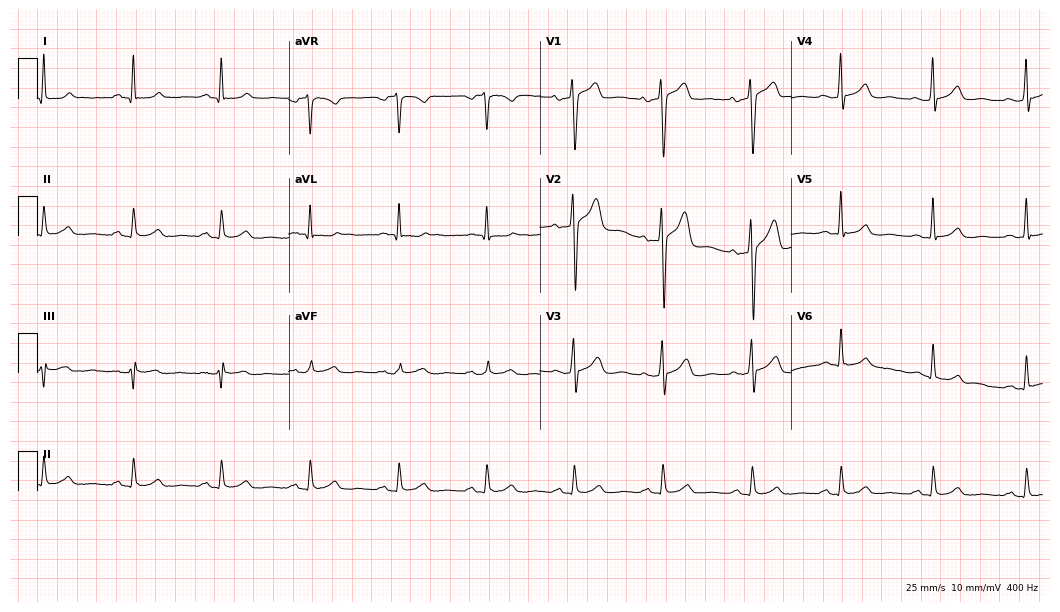
ECG (10.2-second recording at 400 Hz) — a male, 64 years old. Labelled as a normal ECG.